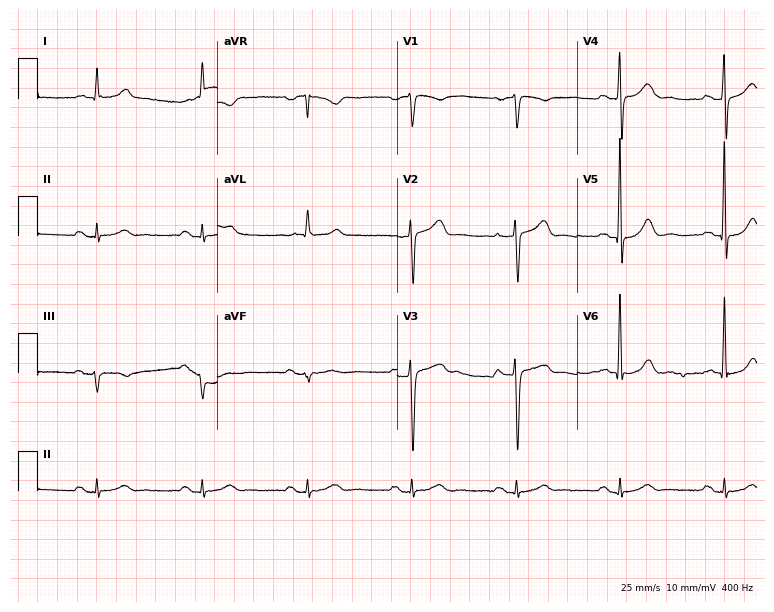
Standard 12-lead ECG recorded from a 71-year-old male patient (7.3-second recording at 400 Hz). Read as a normal ECG.